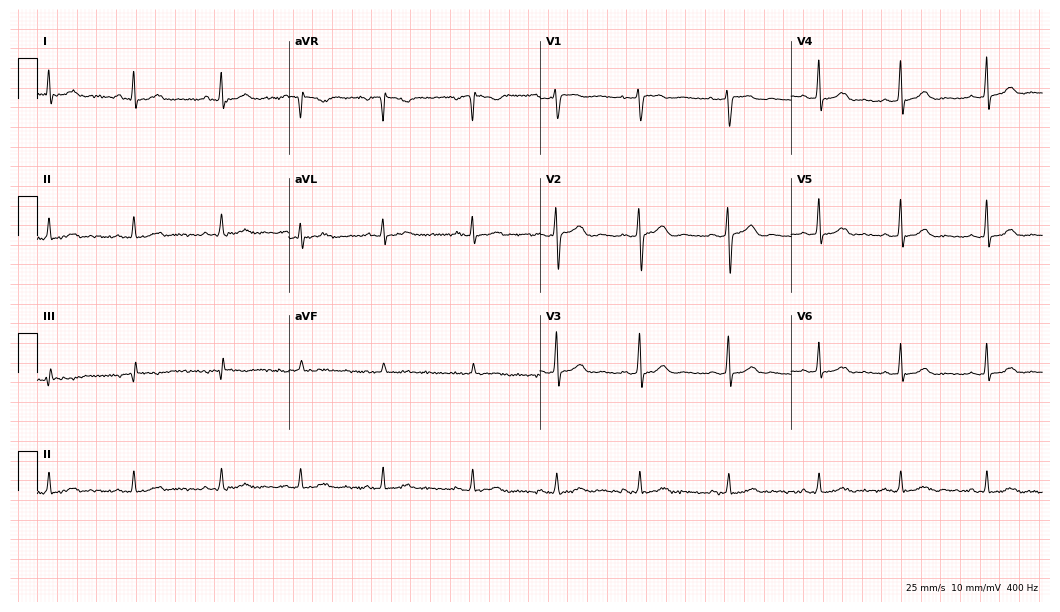
Standard 12-lead ECG recorded from a female, 31 years old. Read as a normal ECG.